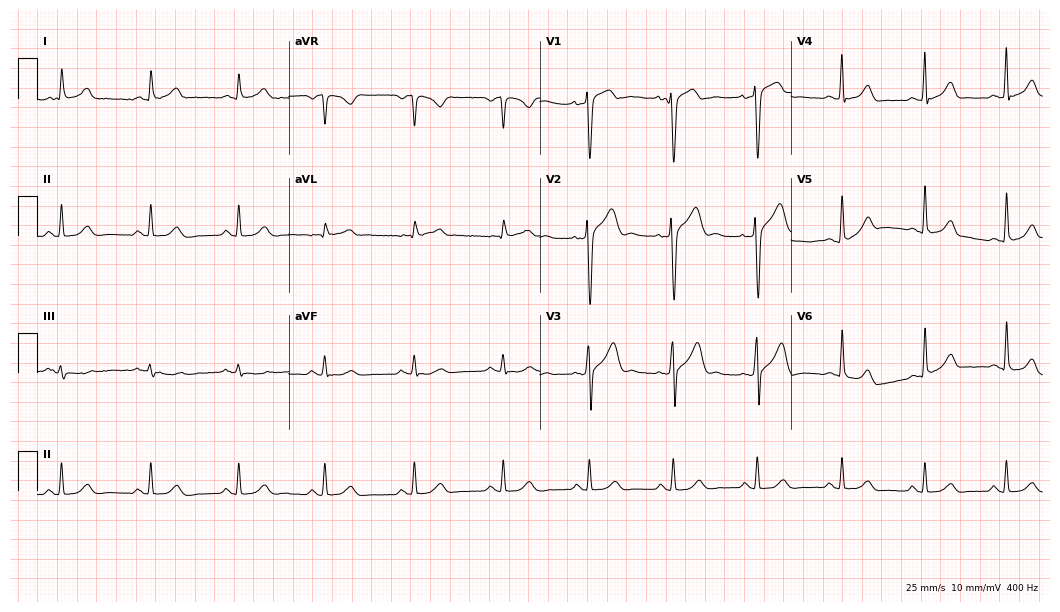
ECG — a 44-year-old male patient. Labelled as a normal ECG.